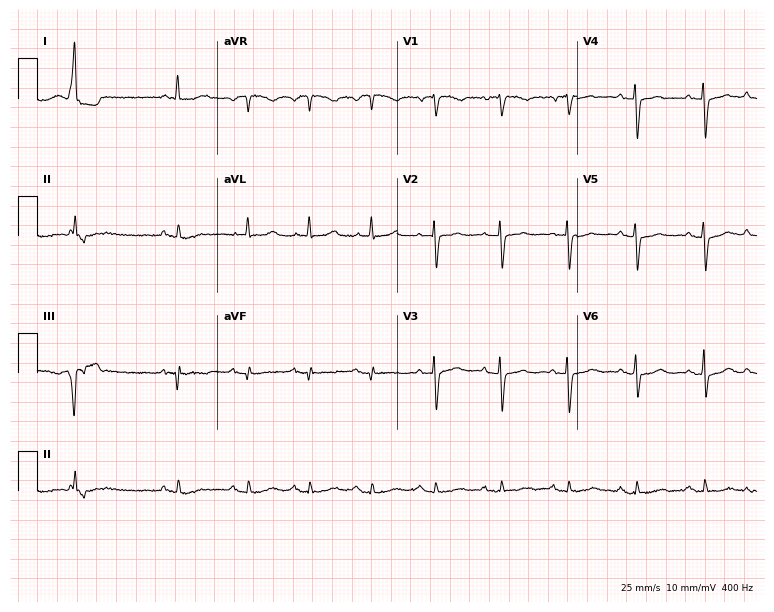
Resting 12-lead electrocardiogram. Patient: a female, 82 years old. None of these six findings is recorded: first-degree AV block, right bundle branch block, left bundle branch block, sinus bradycardia, atrial fibrillation, sinus tachycardia. Other findings, if any, are not listed.